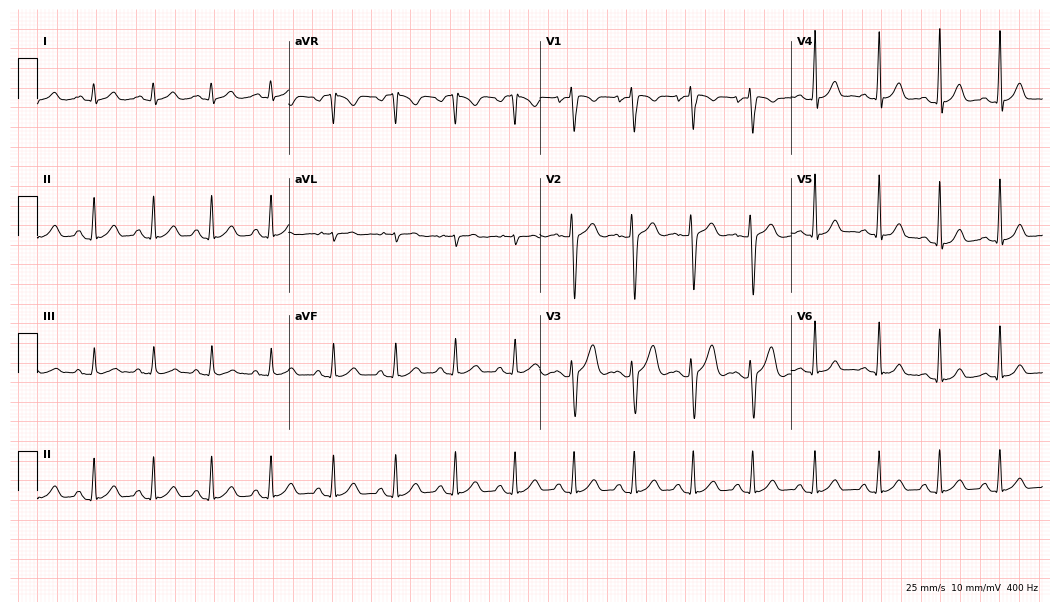
12-lead ECG from a woman, 18 years old. Recorded interpretation: within normal limits.